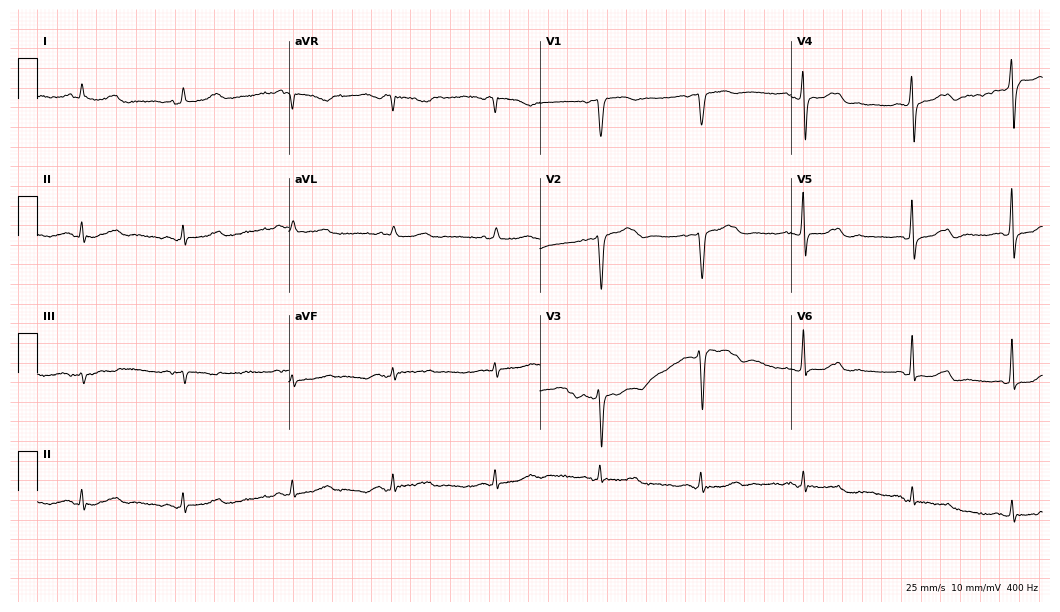
12-lead ECG (10.2-second recording at 400 Hz) from a male, 76 years old. Screened for six findings — first-degree AV block, right bundle branch block, left bundle branch block, sinus bradycardia, atrial fibrillation, sinus tachycardia — none is recorded.